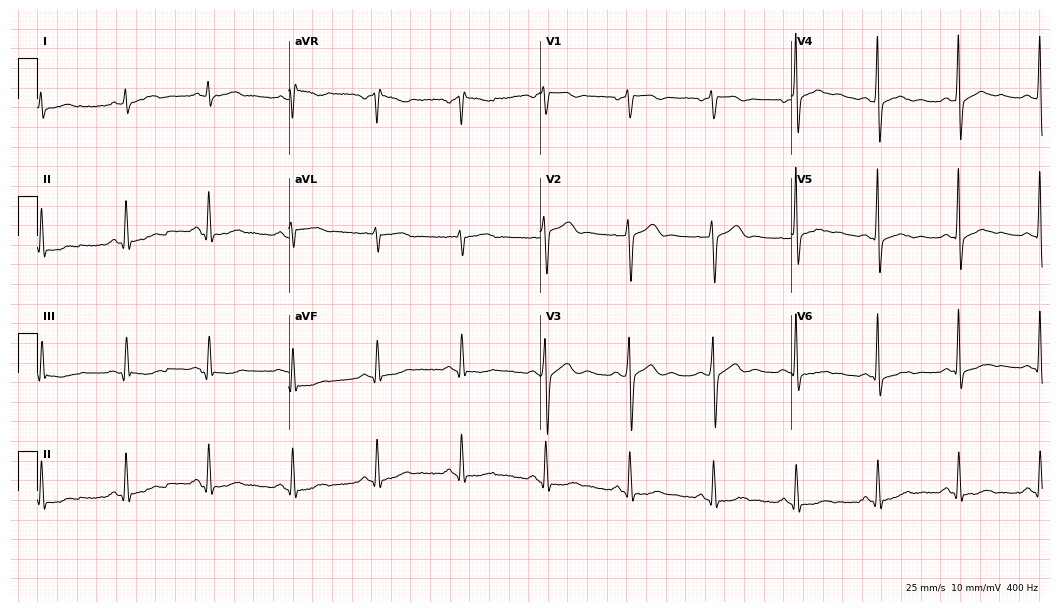
Resting 12-lead electrocardiogram. Patient: a 52-year-old male. None of these six findings is recorded: first-degree AV block, right bundle branch block, left bundle branch block, sinus bradycardia, atrial fibrillation, sinus tachycardia. Only these six findings were labelled.